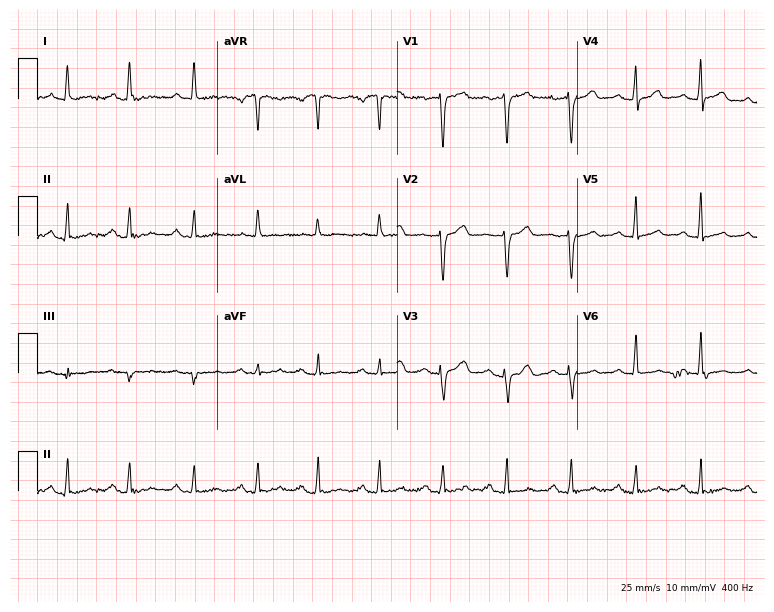
12-lead ECG from a female, 50 years old. Recorded interpretation: within normal limits.